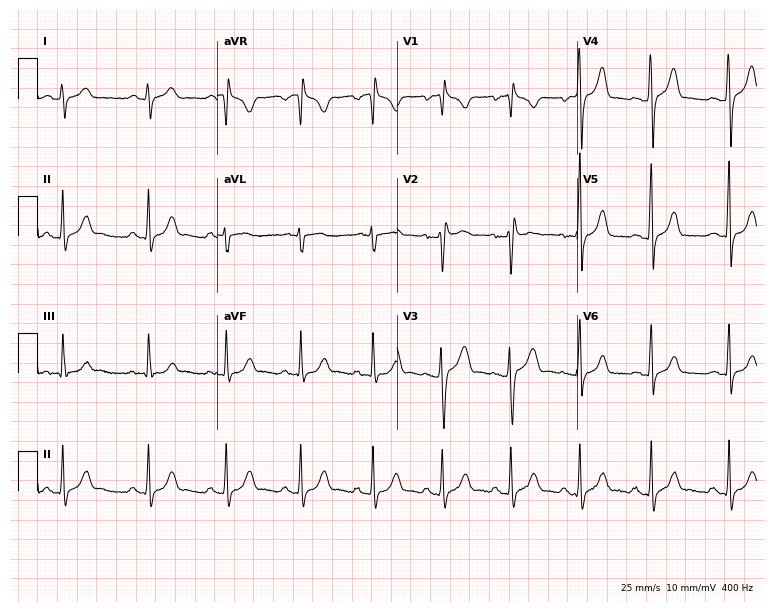
12-lead ECG (7.3-second recording at 400 Hz) from a male patient, 24 years old. Screened for six findings — first-degree AV block, right bundle branch block (RBBB), left bundle branch block (LBBB), sinus bradycardia, atrial fibrillation (AF), sinus tachycardia — none is recorded.